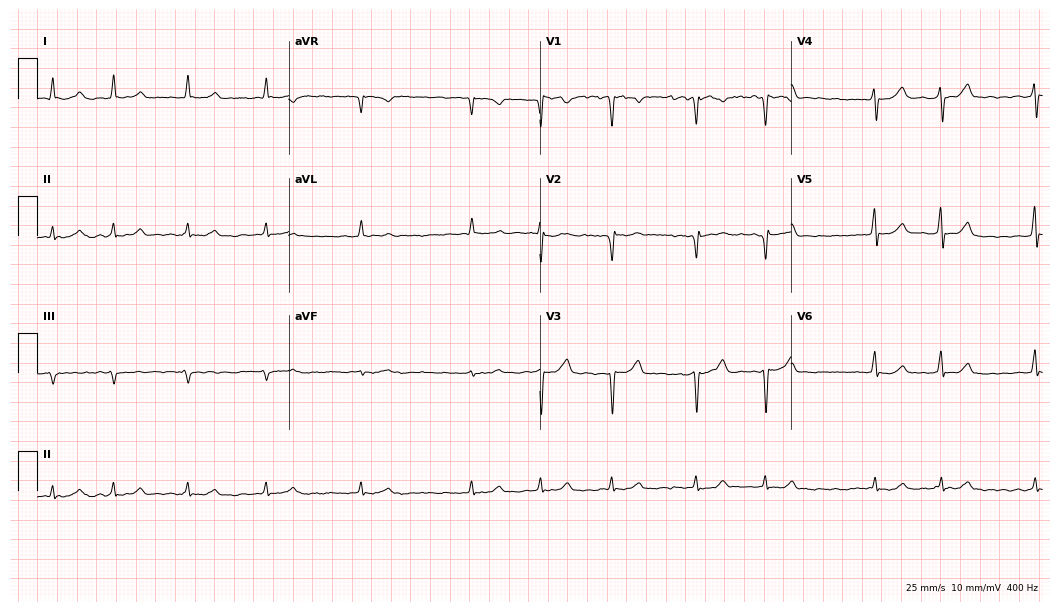
12-lead ECG from a 61-year-old man. No first-degree AV block, right bundle branch block, left bundle branch block, sinus bradycardia, atrial fibrillation or sinus tachycardia recorded for this tracing.